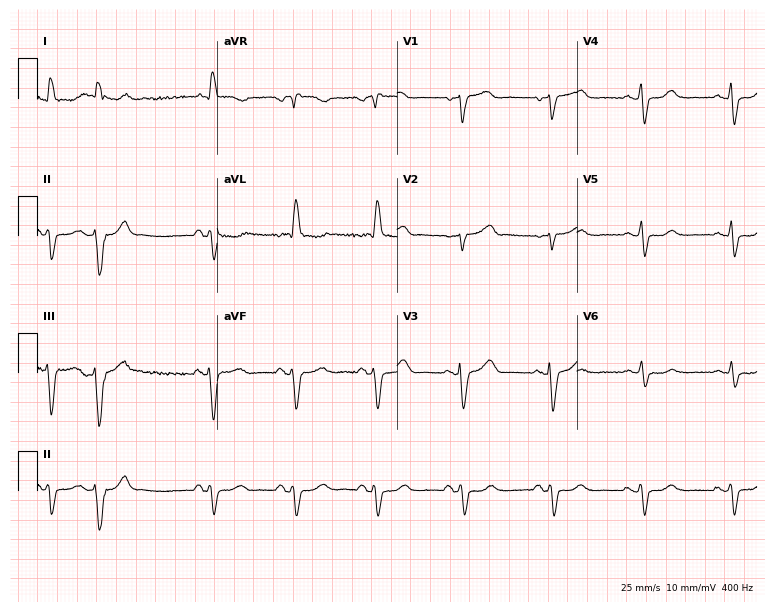
12-lead ECG from a female, 71 years old (7.3-second recording at 400 Hz). No first-degree AV block, right bundle branch block (RBBB), left bundle branch block (LBBB), sinus bradycardia, atrial fibrillation (AF) or sinus tachycardia recorded for this tracing.